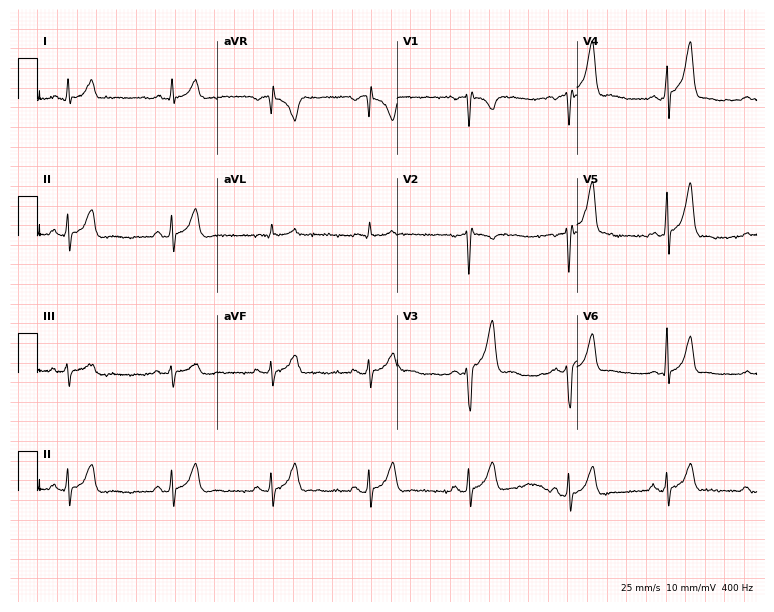
Standard 12-lead ECG recorded from a 38-year-old male. Read as a normal ECG.